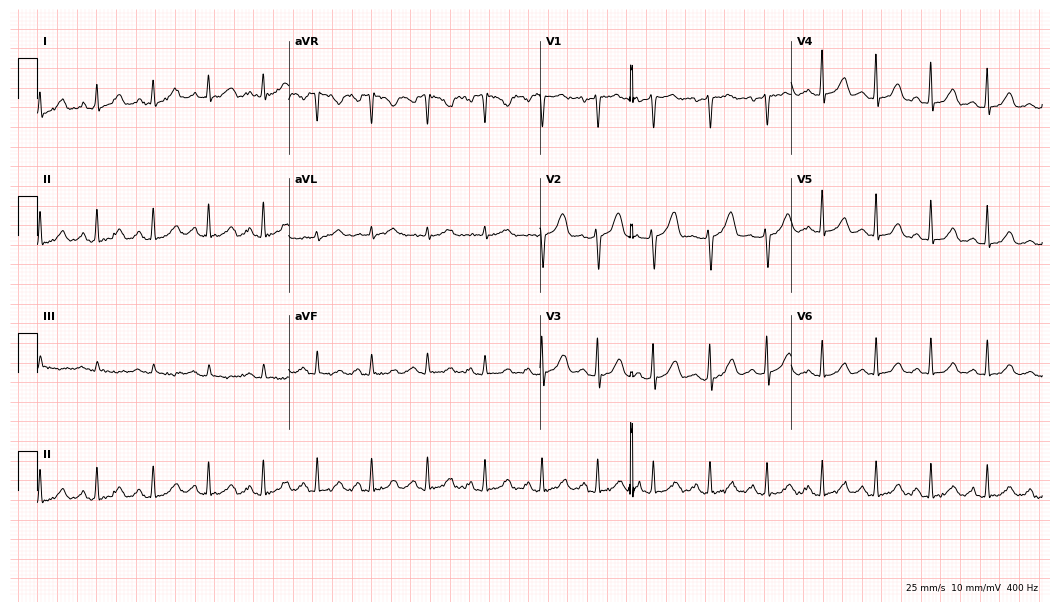
12-lead ECG from a female patient, 31 years old. Recorded interpretation: within normal limits.